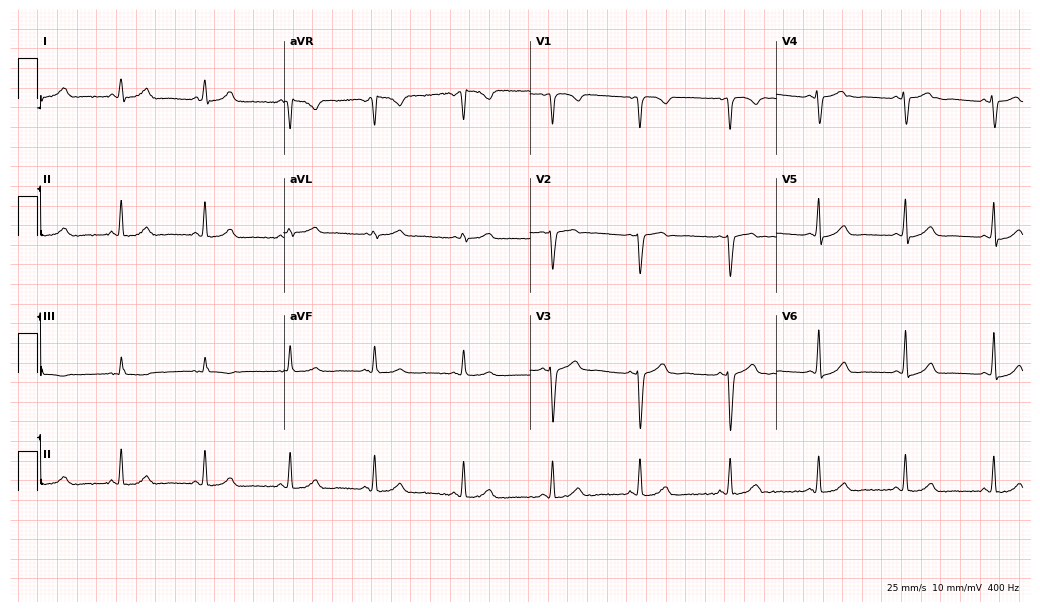
ECG (10-second recording at 400 Hz) — a female patient, 52 years old. Screened for six findings — first-degree AV block, right bundle branch block, left bundle branch block, sinus bradycardia, atrial fibrillation, sinus tachycardia — none is recorded.